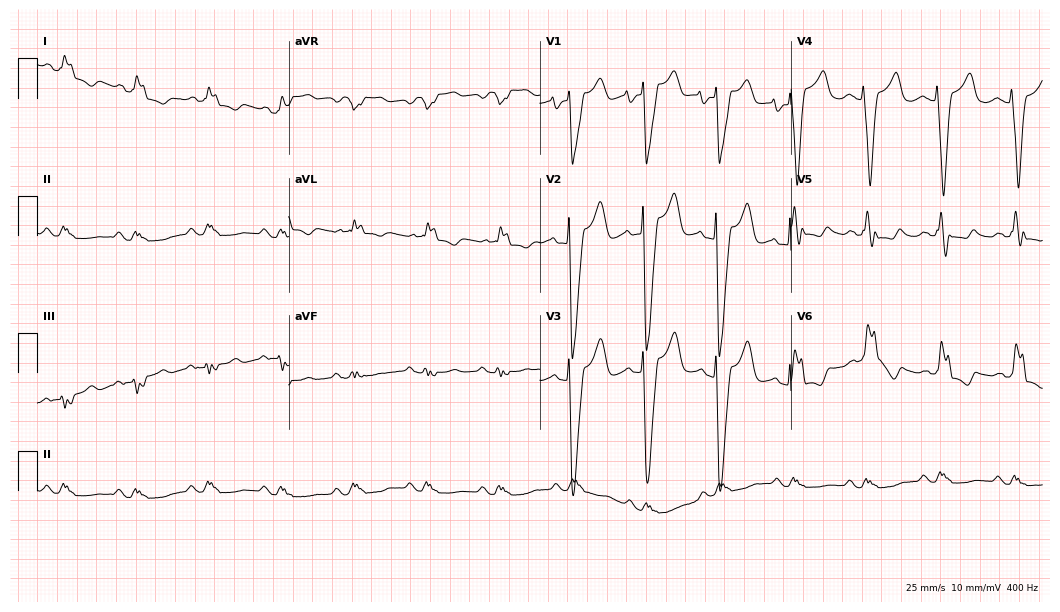
12-lead ECG from a woman, 86 years old. Shows left bundle branch block.